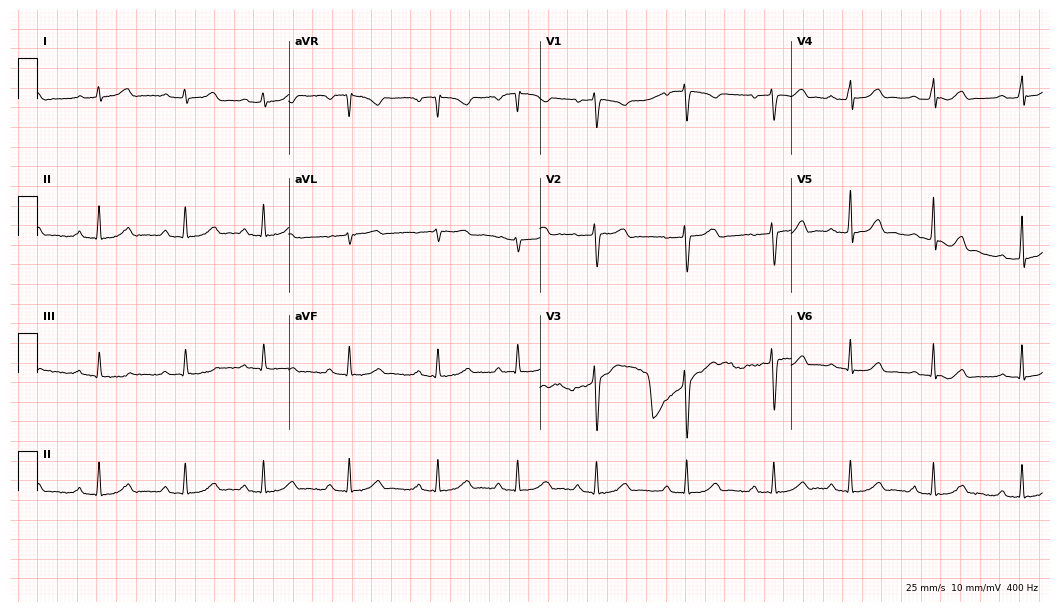
Electrocardiogram (10.2-second recording at 400 Hz), a 23-year-old woman. Overall reading on record: normal ECG.